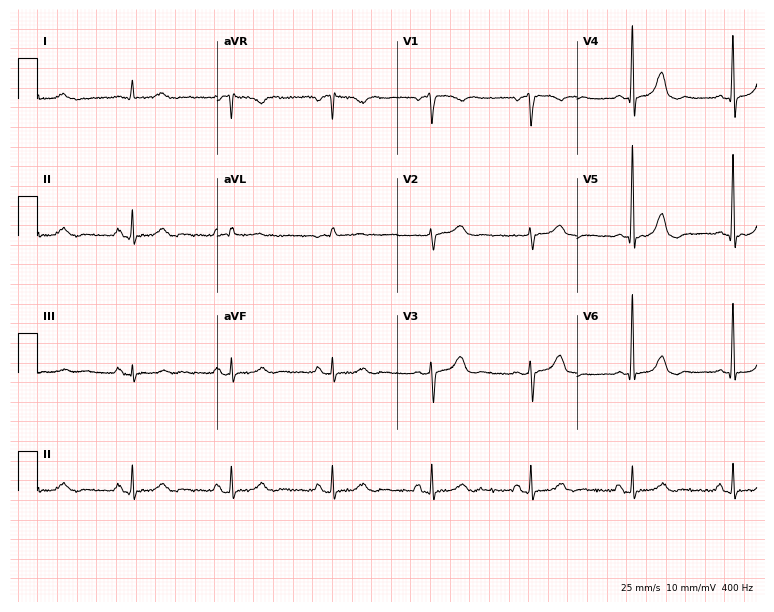
Standard 12-lead ECG recorded from a 63-year-old woman. Read as a normal ECG.